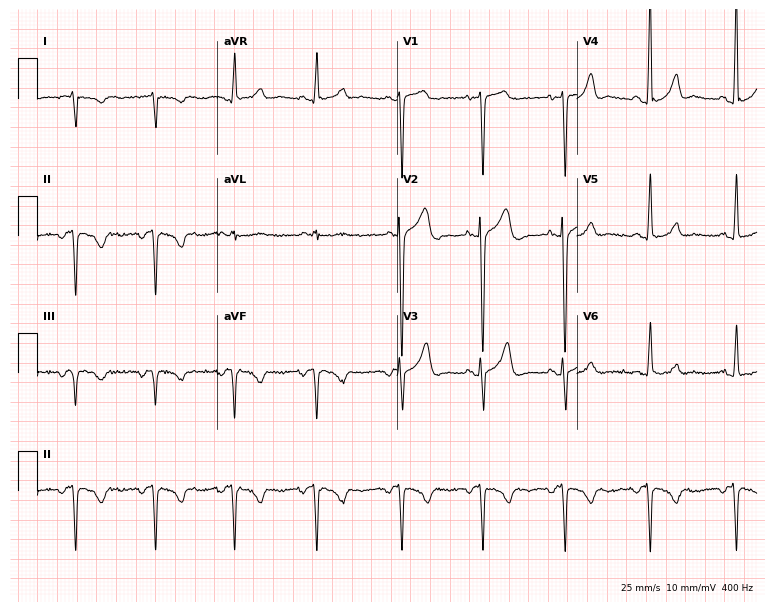
ECG (7.3-second recording at 400 Hz) — a 42-year-old woman. Screened for six findings — first-degree AV block, right bundle branch block (RBBB), left bundle branch block (LBBB), sinus bradycardia, atrial fibrillation (AF), sinus tachycardia — none is recorded.